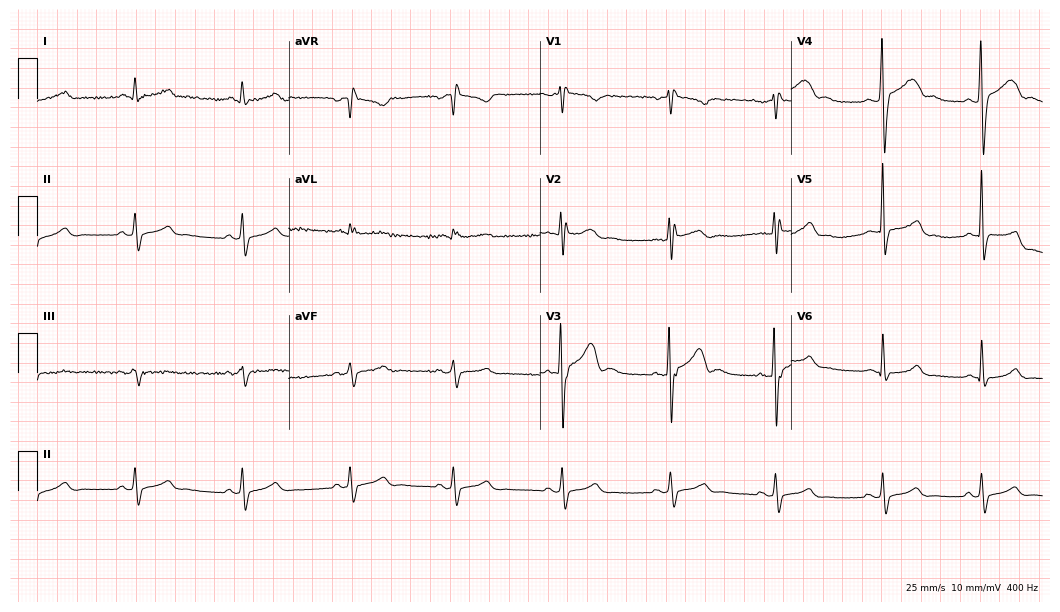
ECG (10.2-second recording at 400 Hz) — a male patient, 37 years old. Screened for six findings — first-degree AV block, right bundle branch block, left bundle branch block, sinus bradycardia, atrial fibrillation, sinus tachycardia — none is recorded. Findings outside these six are not listed.